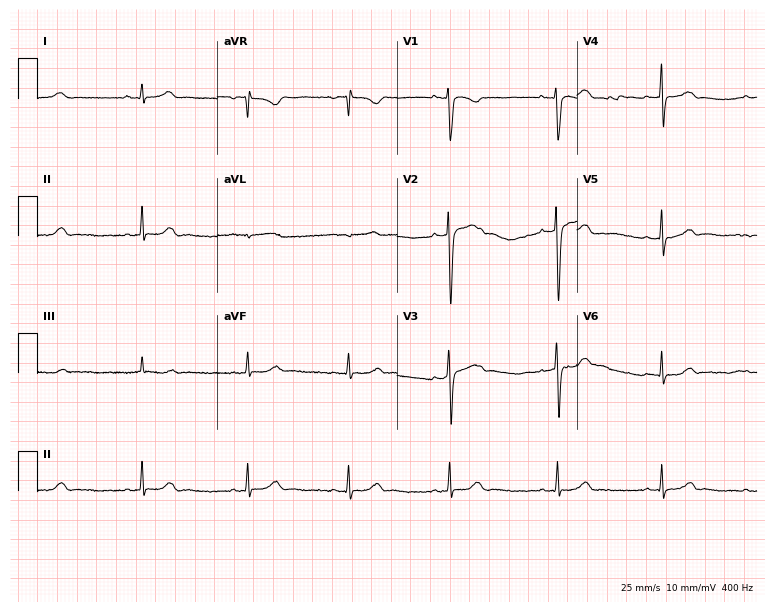
Resting 12-lead electrocardiogram (7.3-second recording at 400 Hz). Patient: a woman, 26 years old. None of these six findings is recorded: first-degree AV block, right bundle branch block (RBBB), left bundle branch block (LBBB), sinus bradycardia, atrial fibrillation (AF), sinus tachycardia. Findings outside these six are not listed.